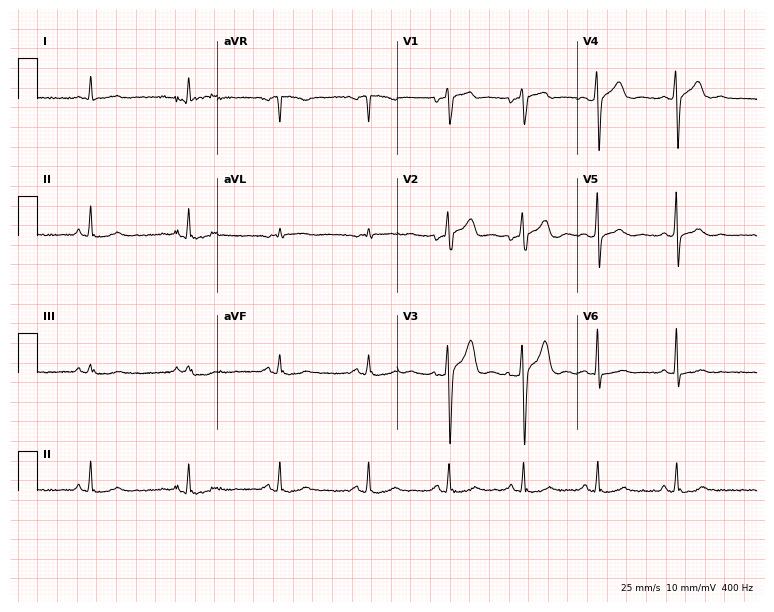
12-lead ECG (7.3-second recording at 400 Hz) from a 41-year-old man. Screened for six findings — first-degree AV block, right bundle branch block, left bundle branch block, sinus bradycardia, atrial fibrillation, sinus tachycardia — none is recorded.